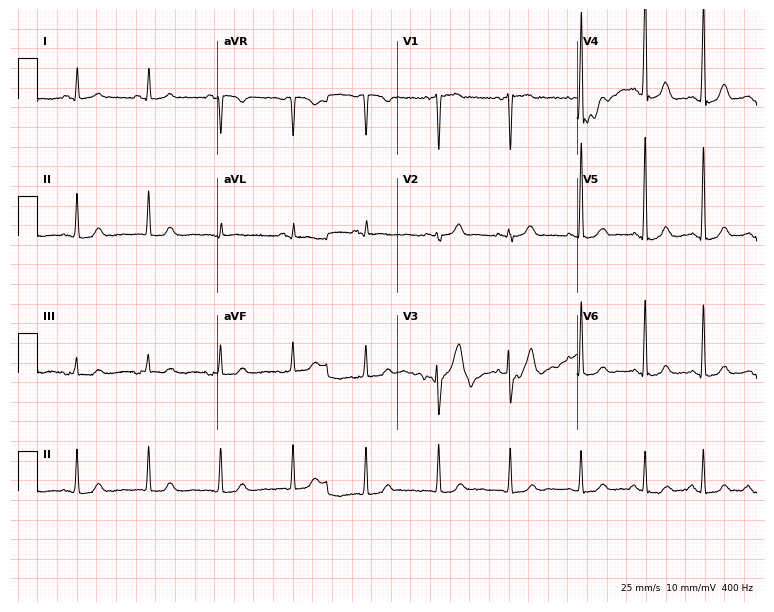
Resting 12-lead electrocardiogram. Patient: a 45-year-old man. Read as a normal ECG.